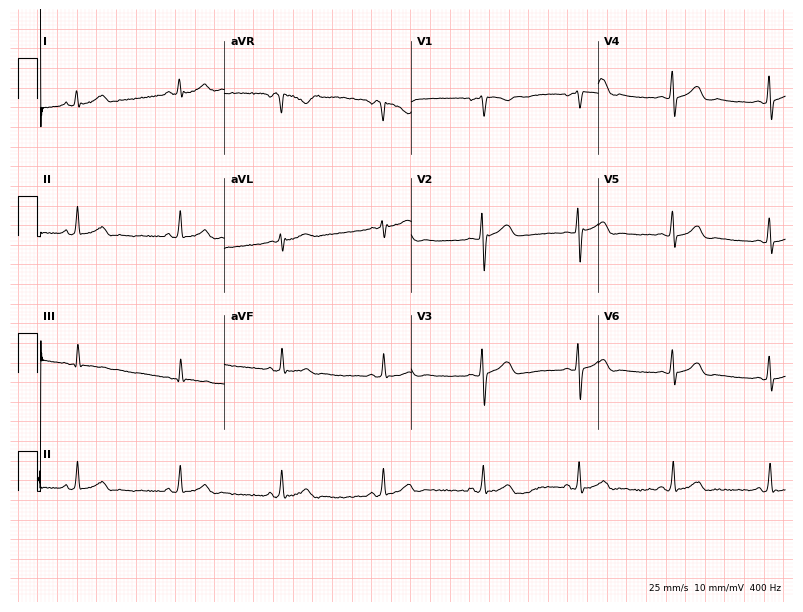
Resting 12-lead electrocardiogram. Patient: a 23-year-old woman. None of these six findings is recorded: first-degree AV block, right bundle branch block, left bundle branch block, sinus bradycardia, atrial fibrillation, sinus tachycardia.